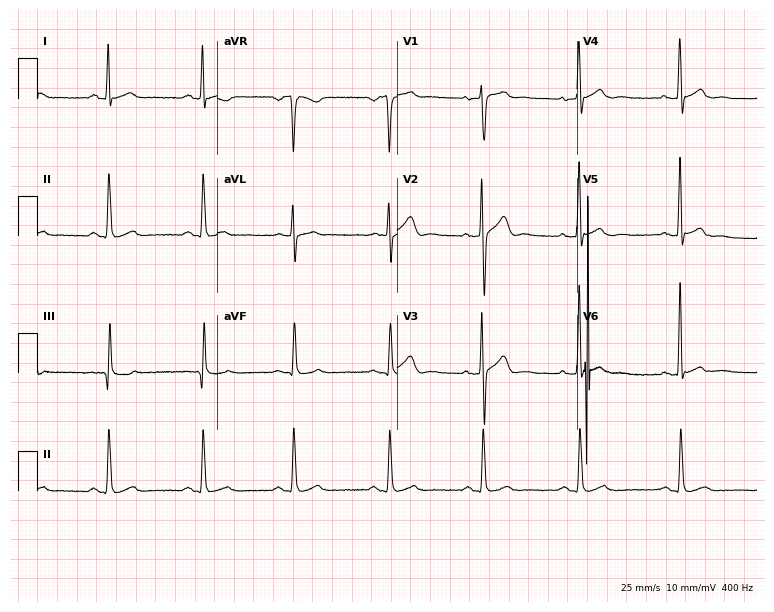
Resting 12-lead electrocardiogram. Patient: a 36-year-old male. None of these six findings is recorded: first-degree AV block, right bundle branch block, left bundle branch block, sinus bradycardia, atrial fibrillation, sinus tachycardia.